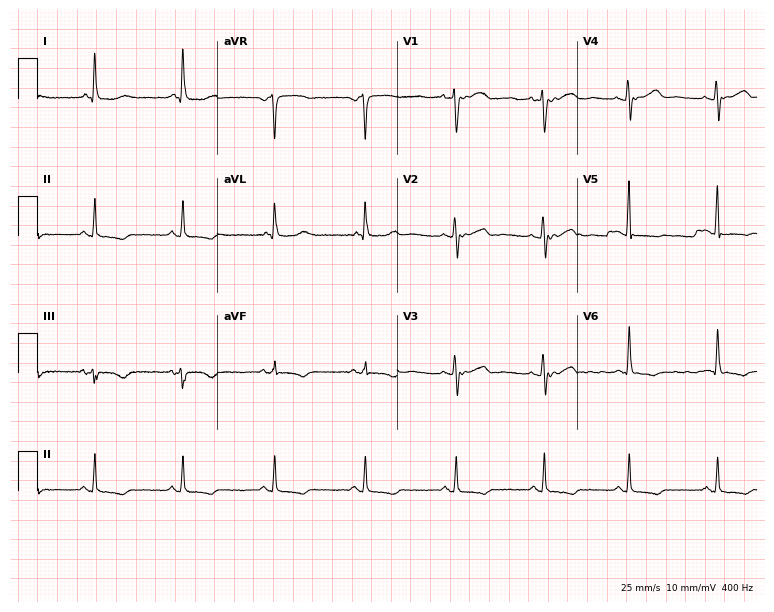
12-lead ECG (7.3-second recording at 400 Hz) from a 59-year-old female. Screened for six findings — first-degree AV block, right bundle branch block, left bundle branch block, sinus bradycardia, atrial fibrillation, sinus tachycardia — none is recorded. Other findings, if any, are not listed.